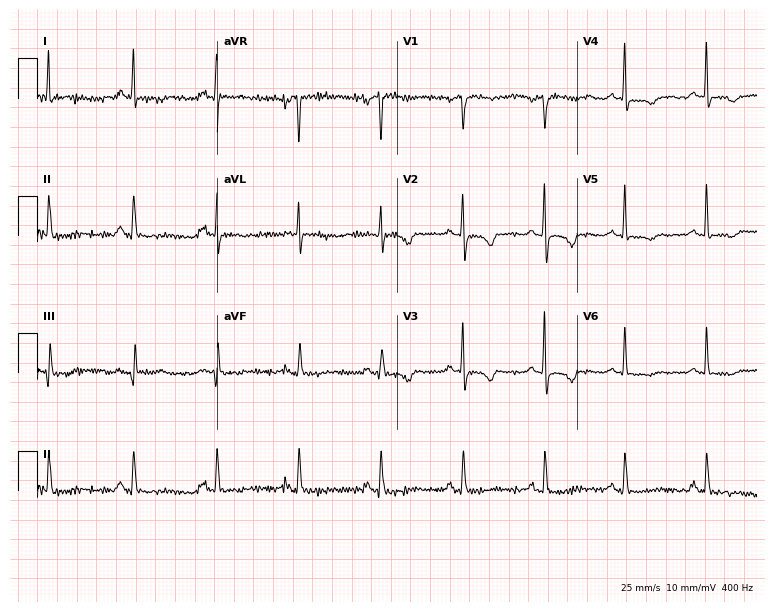
12-lead ECG from a woman, 53 years old (7.3-second recording at 400 Hz). No first-degree AV block, right bundle branch block, left bundle branch block, sinus bradycardia, atrial fibrillation or sinus tachycardia recorded for this tracing. Other findings, if any, are not listed.